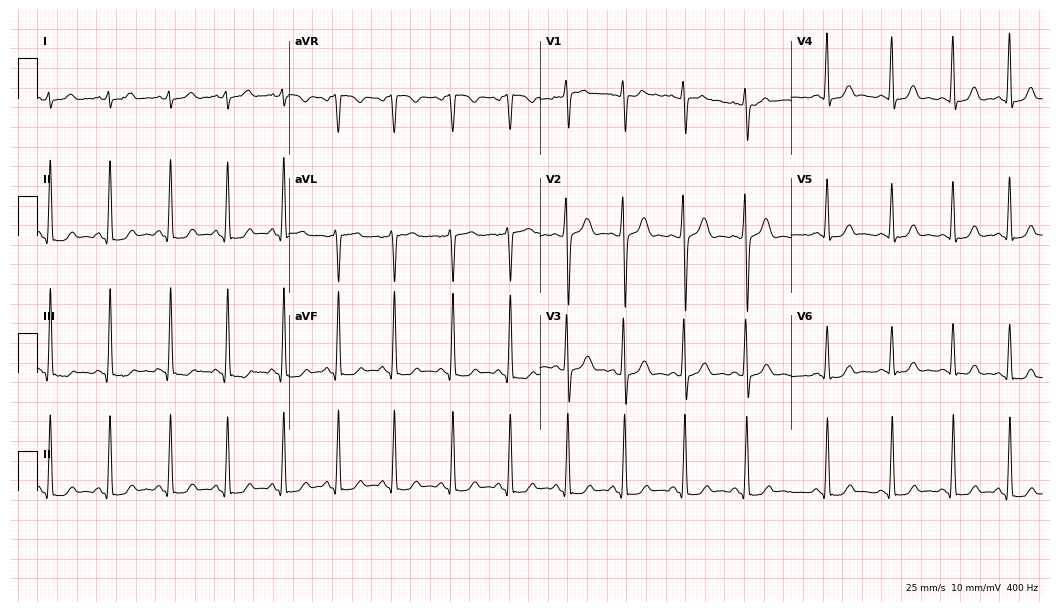
12-lead ECG from a 27-year-old female patient (10.2-second recording at 400 Hz). No first-degree AV block, right bundle branch block, left bundle branch block, sinus bradycardia, atrial fibrillation or sinus tachycardia recorded for this tracing.